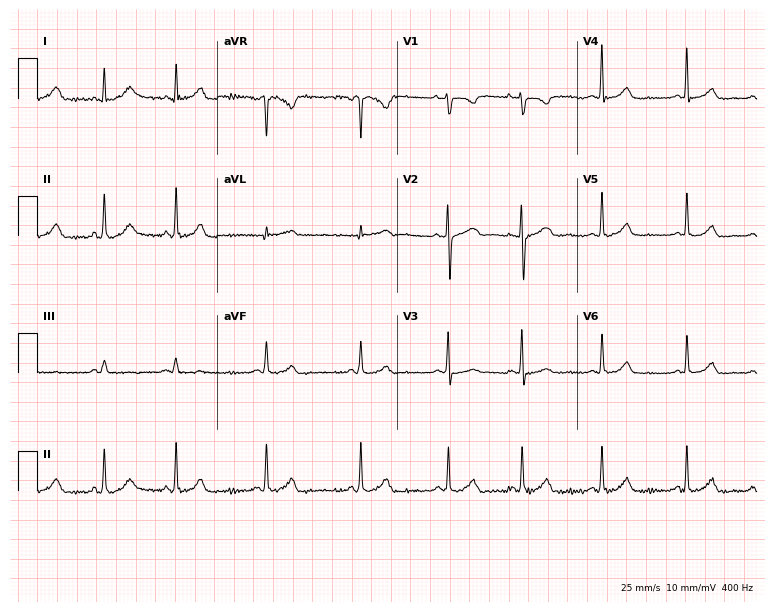
ECG (7.3-second recording at 400 Hz) — a 28-year-old female. Labelled as a normal ECG.